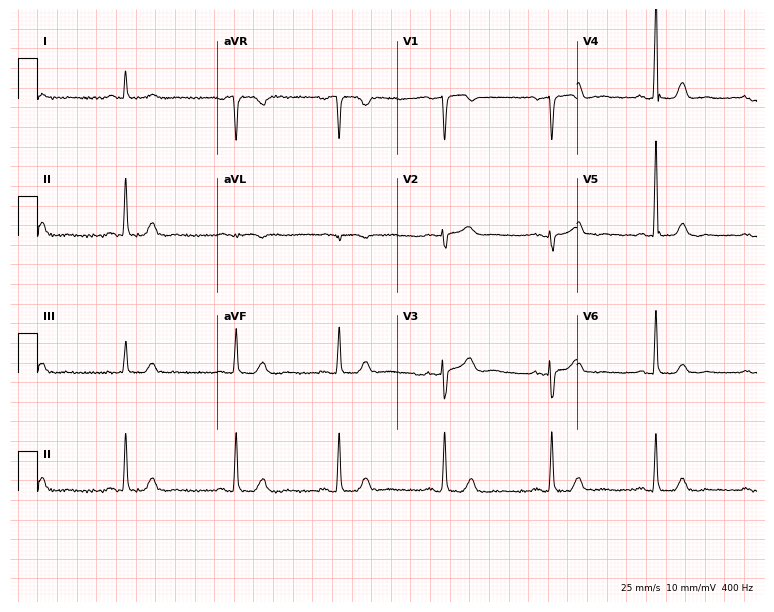
12-lead ECG from a 54-year-old woman (7.3-second recording at 400 Hz). No first-degree AV block, right bundle branch block (RBBB), left bundle branch block (LBBB), sinus bradycardia, atrial fibrillation (AF) or sinus tachycardia recorded for this tracing. Other findings, if any, are not listed.